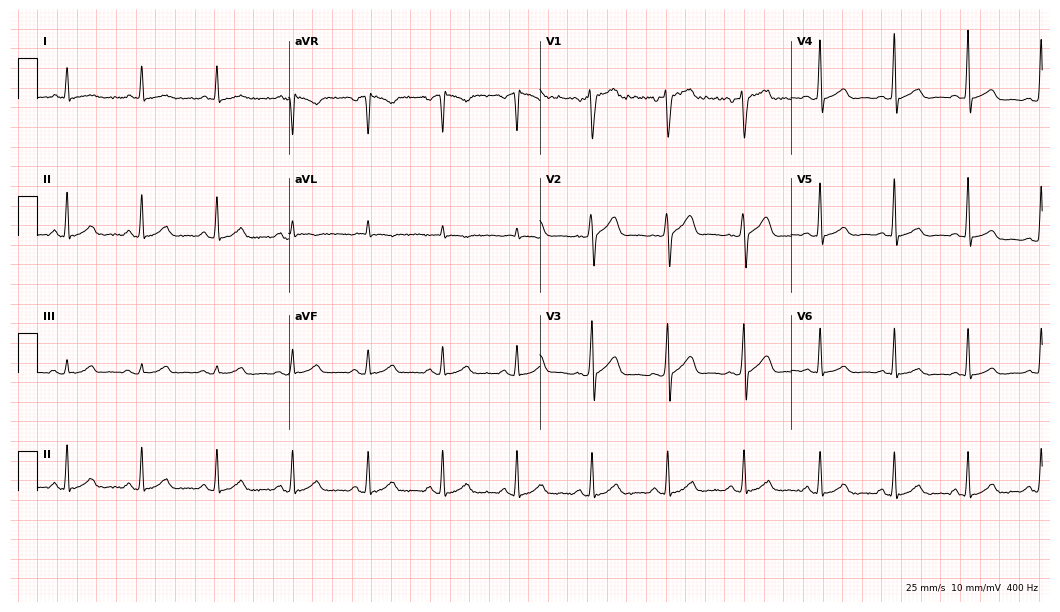
Resting 12-lead electrocardiogram (10.2-second recording at 400 Hz). Patient: a male, 68 years old. Read as a normal ECG.